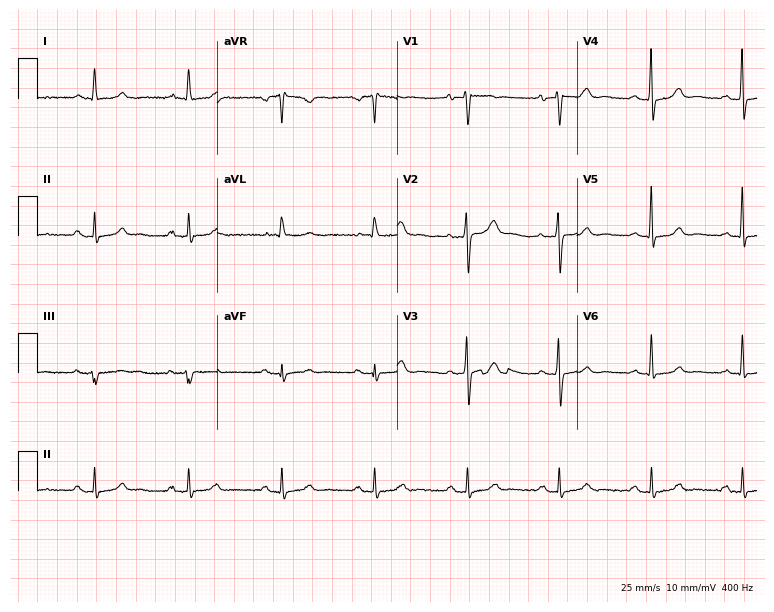
12-lead ECG from a 50-year-old female patient. Recorded interpretation: within normal limits.